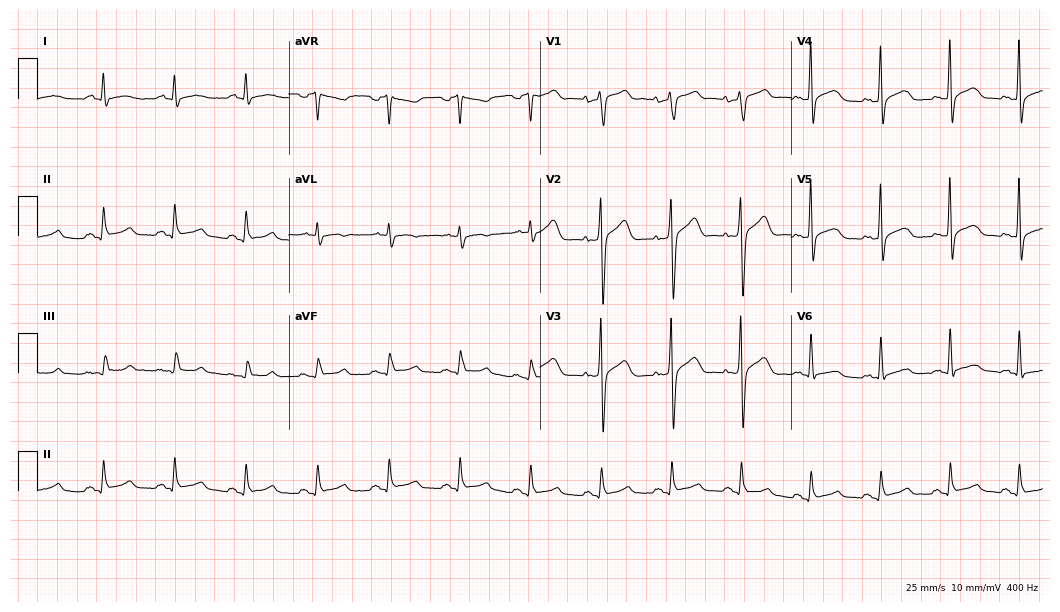
12-lead ECG from a 66-year-old male patient. No first-degree AV block, right bundle branch block (RBBB), left bundle branch block (LBBB), sinus bradycardia, atrial fibrillation (AF) or sinus tachycardia recorded for this tracing. Findings outside these six are not listed.